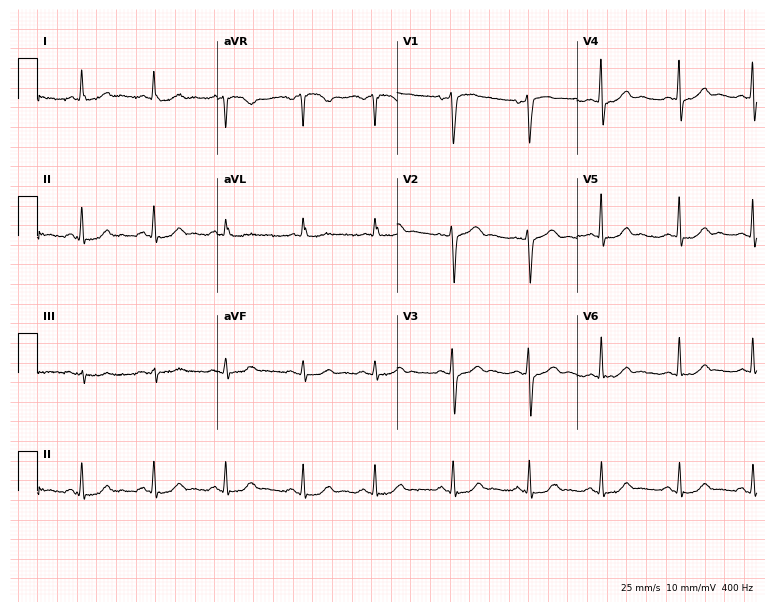
ECG (7.3-second recording at 400 Hz) — a 62-year-old male. Labelled as a normal ECG.